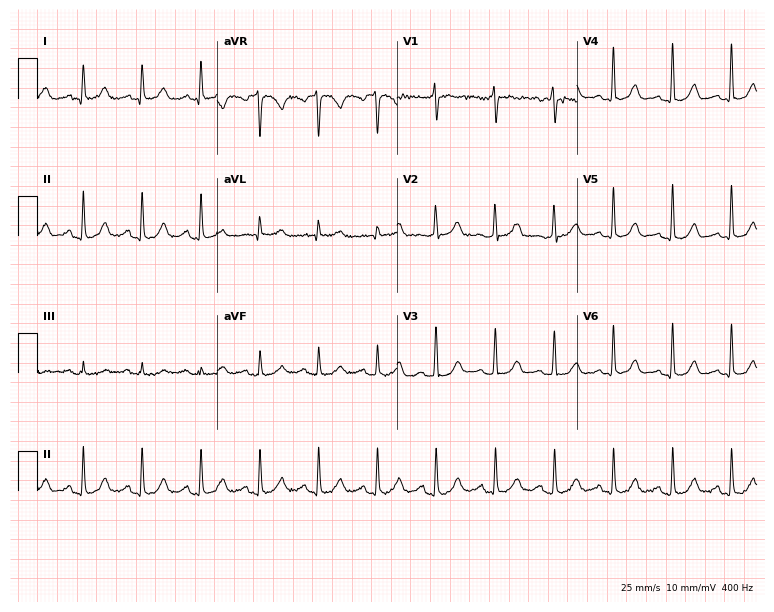
Standard 12-lead ECG recorded from a 59-year-old female patient (7.3-second recording at 400 Hz). None of these six findings is recorded: first-degree AV block, right bundle branch block (RBBB), left bundle branch block (LBBB), sinus bradycardia, atrial fibrillation (AF), sinus tachycardia. Other findings, if any, are not listed.